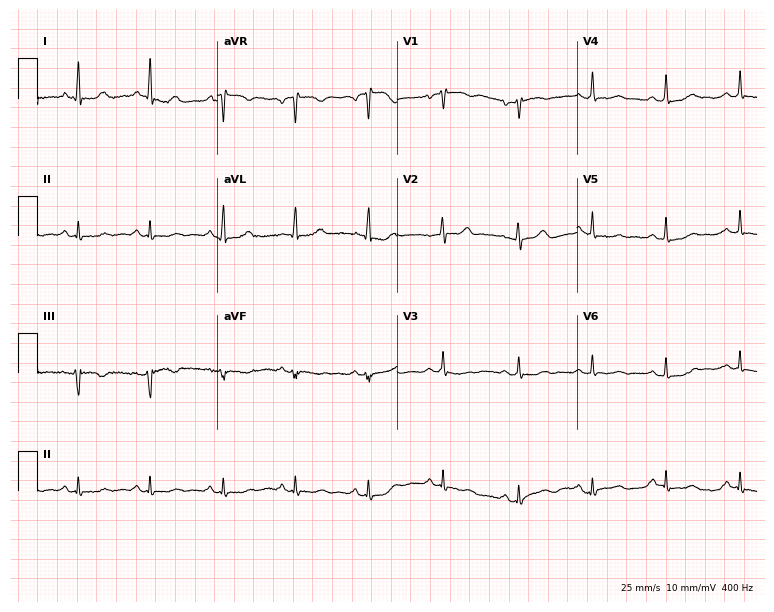
ECG (7.3-second recording at 400 Hz) — a woman, 52 years old. Screened for six findings — first-degree AV block, right bundle branch block, left bundle branch block, sinus bradycardia, atrial fibrillation, sinus tachycardia — none is recorded.